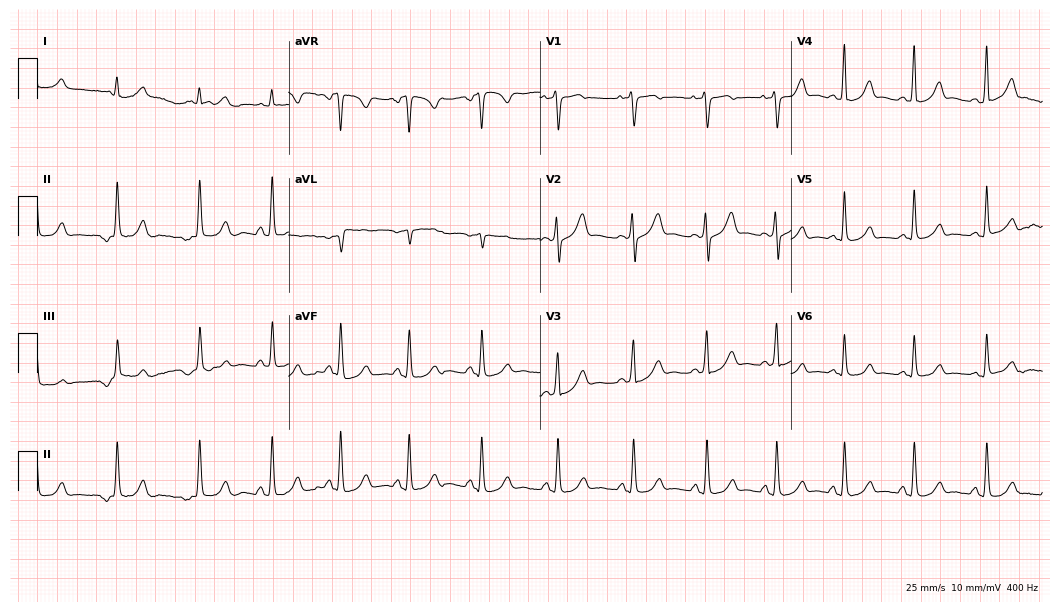
Resting 12-lead electrocardiogram (10.2-second recording at 400 Hz). Patient: a female, 27 years old. Read as a normal ECG.